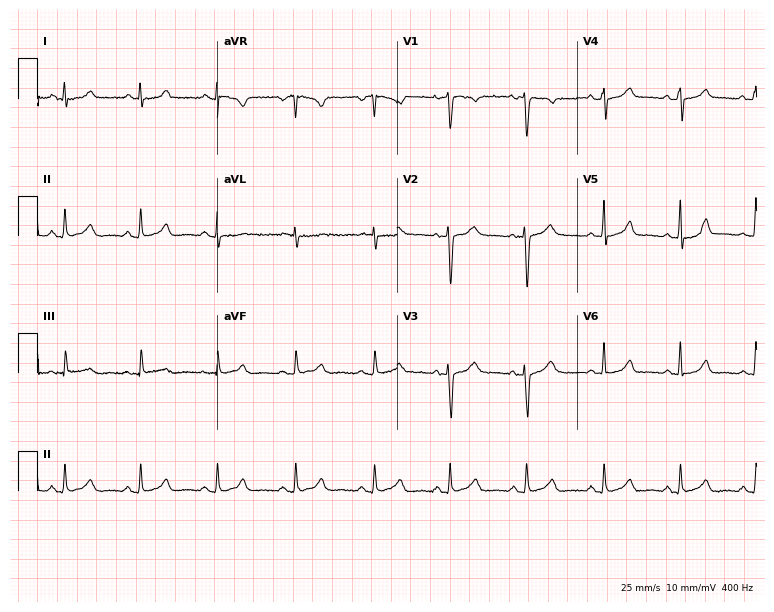
12-lead ECG from a 36-year-old woman. Labelled as a normal ECG.